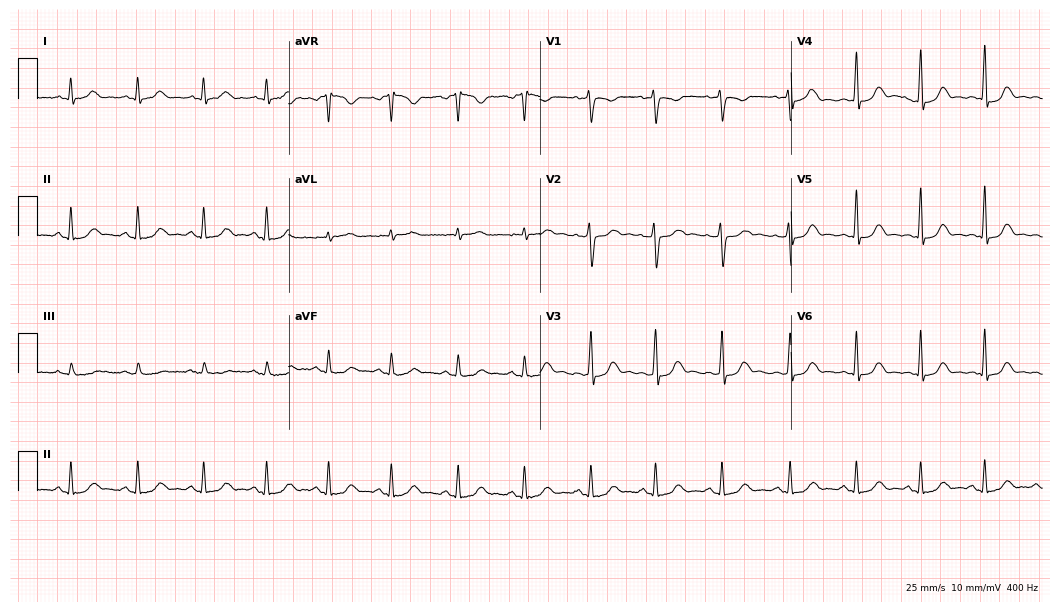
12-lead ECG from a female, 38 years old. Screened for six findings — first-degree AV block, right bundle branch block, left bundle branch block, sinus bradycardia, atrial fibrillation, sinus tachycardia — none is recorded. Only these six findings were labelled.